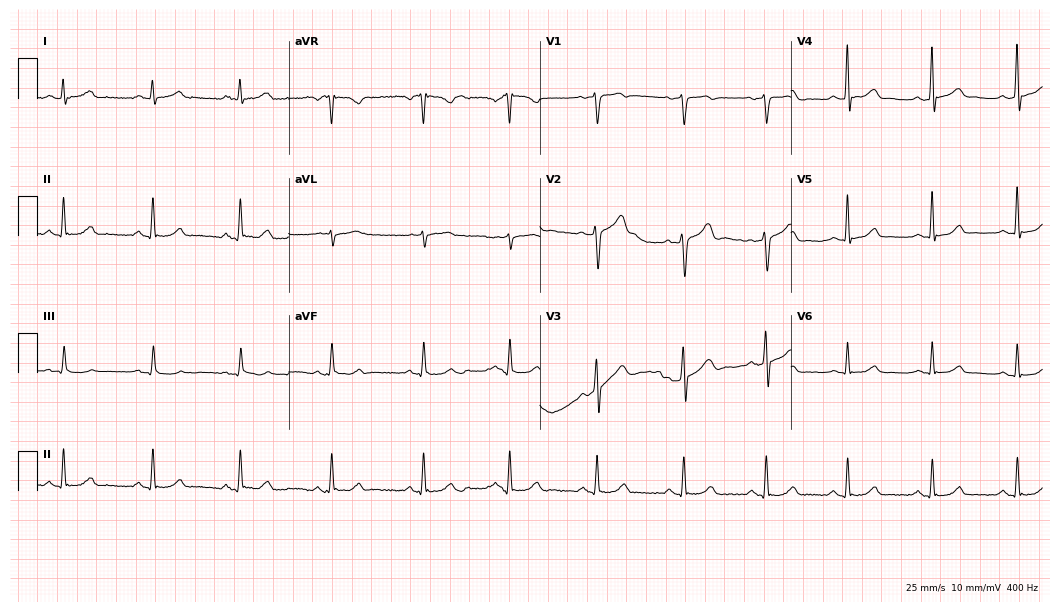
Resting 12-lead electrocardiogram. Patient: a man, 47 years old. None of these six findings is recorded: first-degree AV block, right bundle branch block, left bundle branch block, sinus bradycardia, atrial fibrillation, sinus tachycardia.